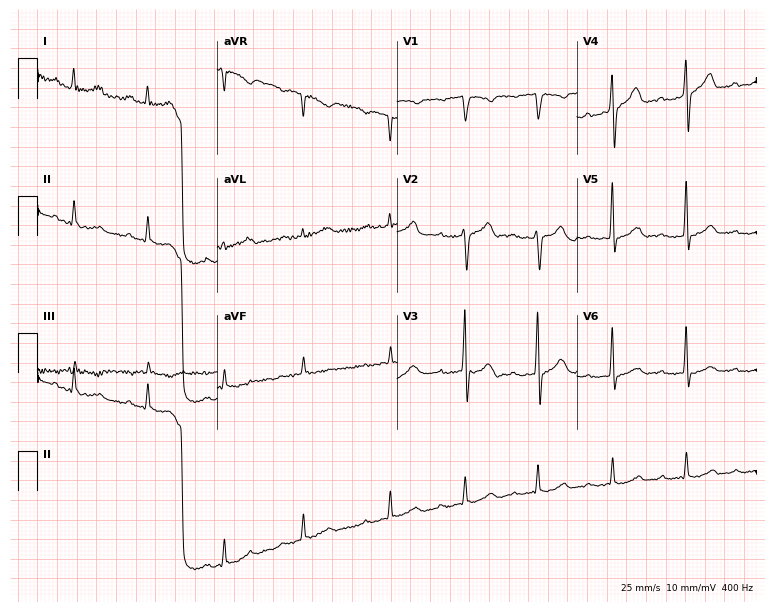
Standard 12-lead ECG recorded from a 40-year-old male patient. The tracing shows first-degree AV block.